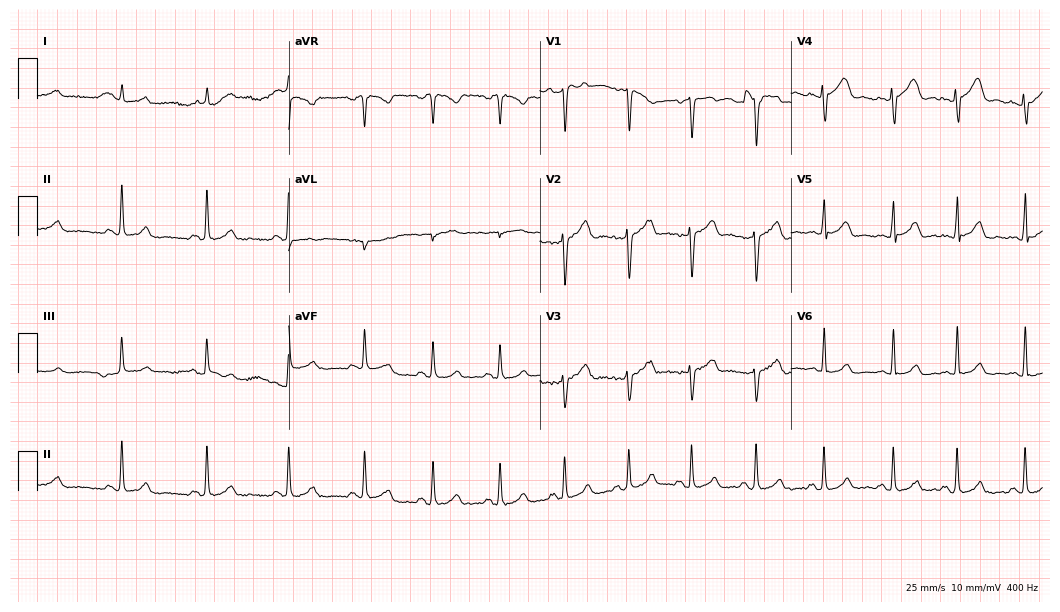
Electrocardiogram (10.2-second recording at 400 Hz), a 36-year-old male patient. Of the six screened findings (first-degree AV block, right bundle branch block, left bundle branch block, sinus bradycardia, atrial fibrillation, sinus tachycardia), none is recorded.